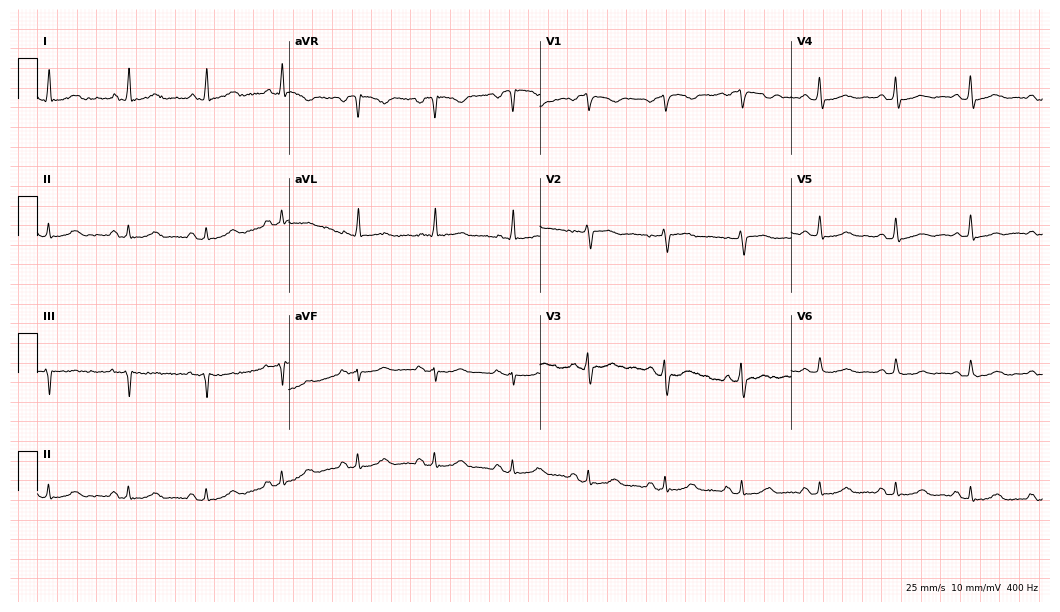
12-lead ECG from a 70-year-old female (10.2-second recording at 400 Hz). Recorded interpretation: within normal limits.